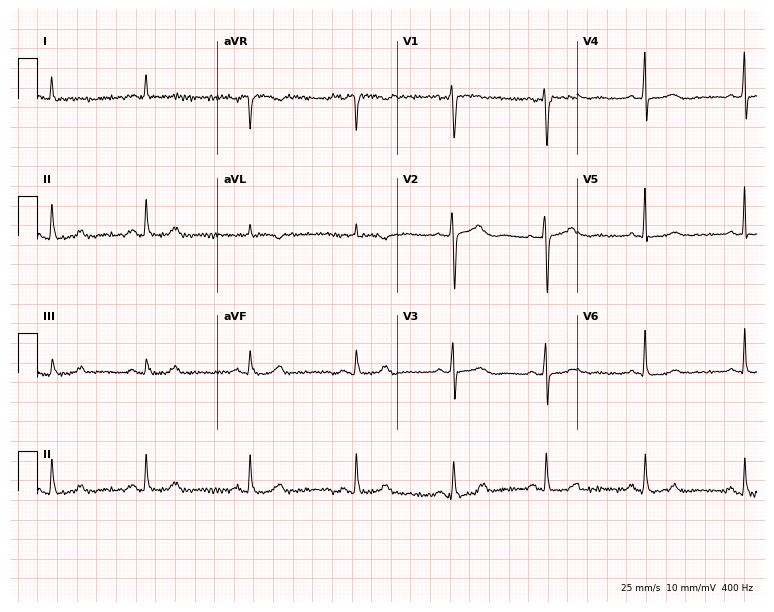
Electrocardiogram, a 40-year-old female patient. Of the six screened findings (first-degree AV block, right bundle branch block (RBBB), left bundle branch block (LBBB), sinus bradycardia, atrial fibrillation (AF), sinus tachycardia), none is recorded. Other findings, if any, are not listed.